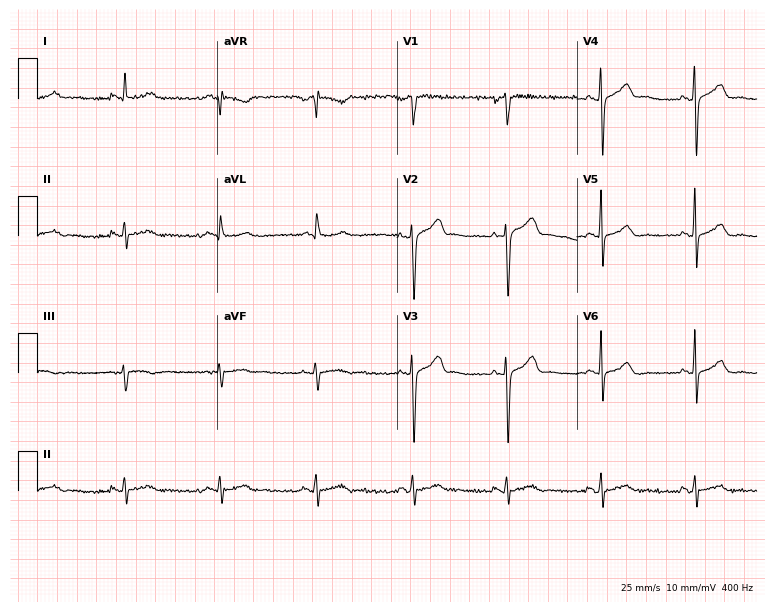
12-lead ECG from a male, 61 years old. Screened for six findings — first-degree AV block, right bundle branch block (RBBB), left bundle branch block (LBBB), sinus bradycardia, atrial fibrillation (AF), sinus tachycardia — none is recorded.